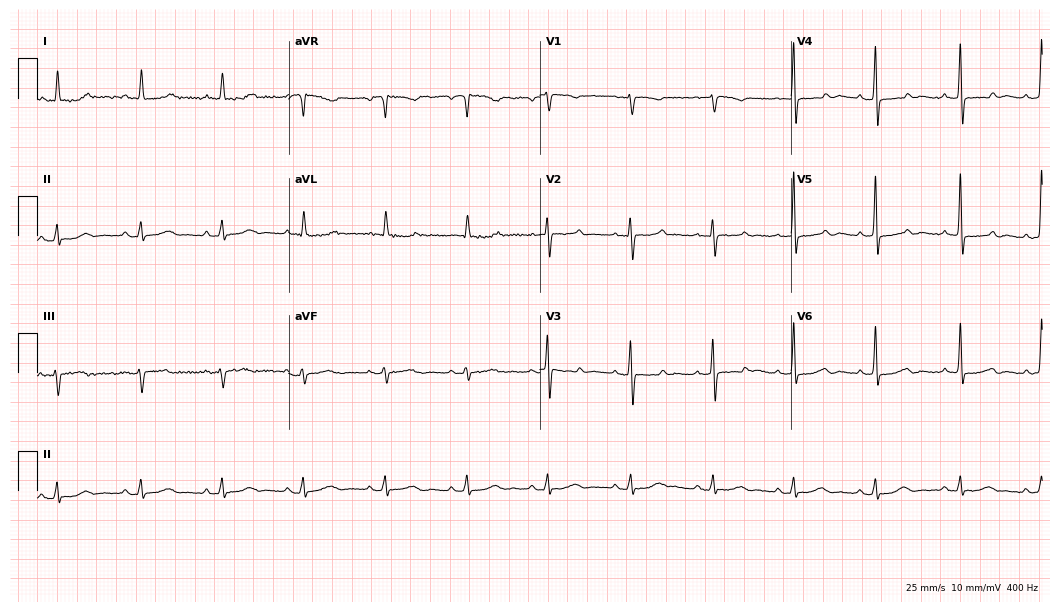
Resting 12-lead electrocardiogram. Patient: a female, 67 years old. None of these six findings is recorded: first-degree AV block, right bundle branch block (RBBB), left bundle branch block (LBBB), sinus bradycardia, atrial fibrillation (AF), sinus tachycardia. Findings outside these six are not listed.